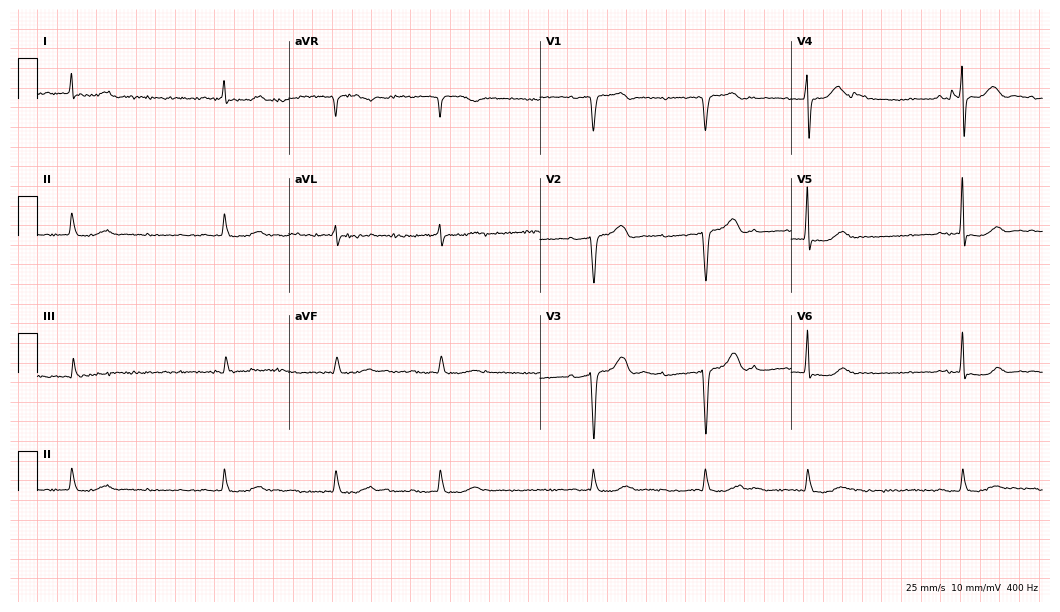
ECG — a man, 83 years old. Findings include atrial fibrillation.